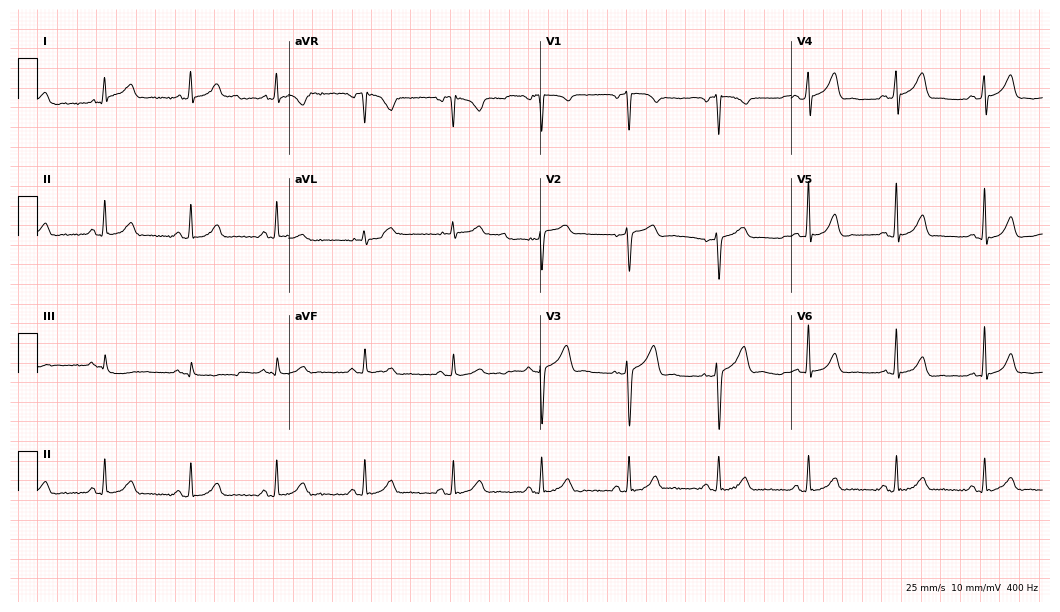
Standard 12-lead ECG recorded from a female, 47 years old (10.2-second recording at 400 Hz). Read as a normal ECG.